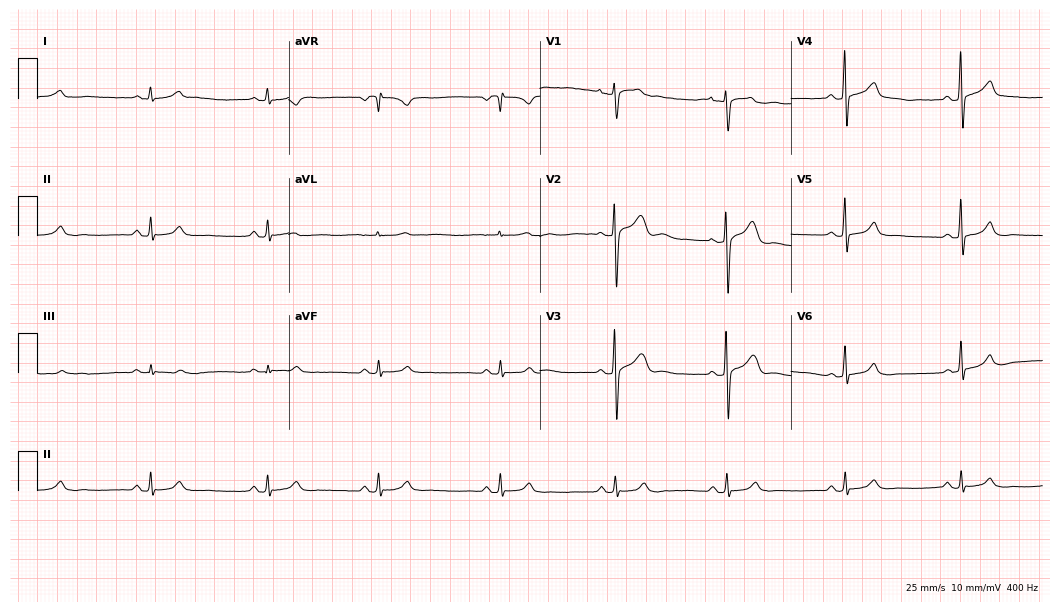
ECG — a man, 24 years old. Labelled as a normal ECG.